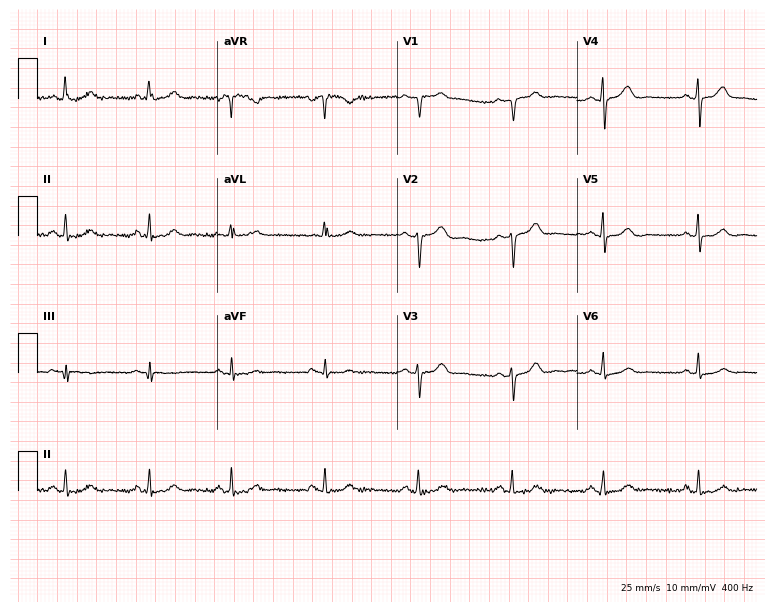
Resting 12-lead electrocardiogram (7.3-second recording at 400 Hz). Patient: a 48-year-old female. None of these six findings is recorded: first-degree AV block, right bundle branch block, left bundle branch block, sinus bradycardia, atrial fibrillation, sinus tachycardia. Findings outside these six are not listed.